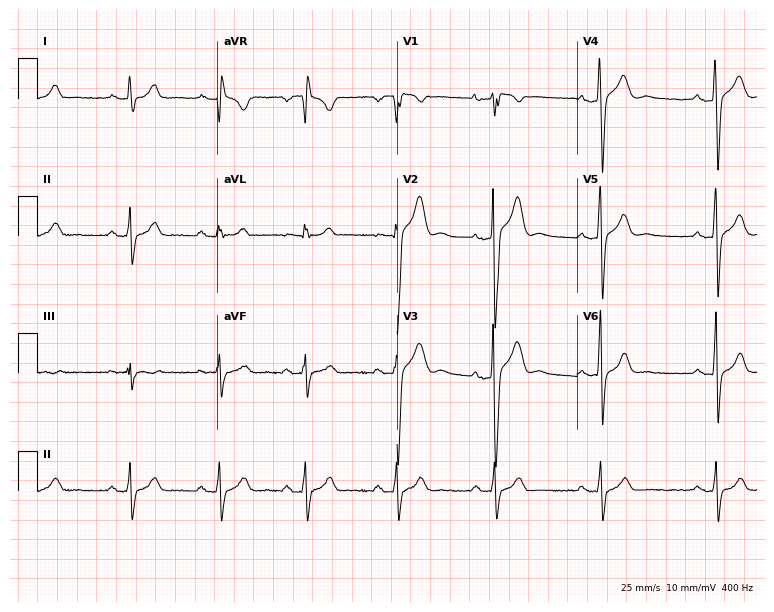
12-lead ECG from a male patient, 33 years old. Screened for six findings — first-degree AV block, right bundle branch block, left bundle branch block, sinus bradycardia, atrial fibrillation, sinus tachycardia — none is recorded.